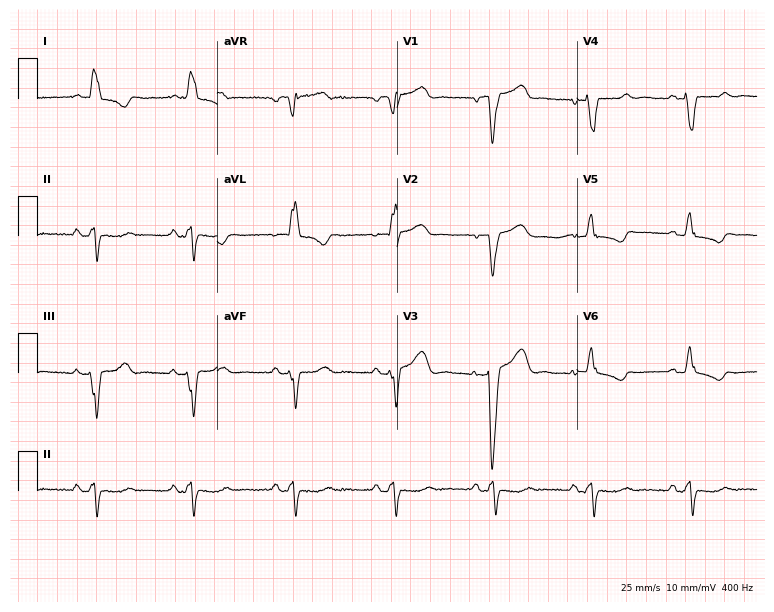
Electrocardiogram, an 80-year-old female patient. Interpretation includes left bundle branch block.